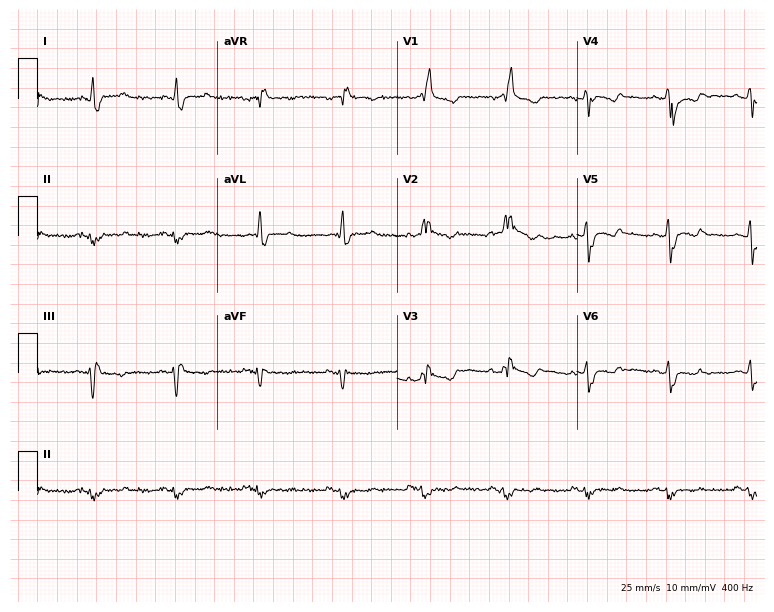
12-lead ECG from a male, 56 years old. Shows right bundle branch block.